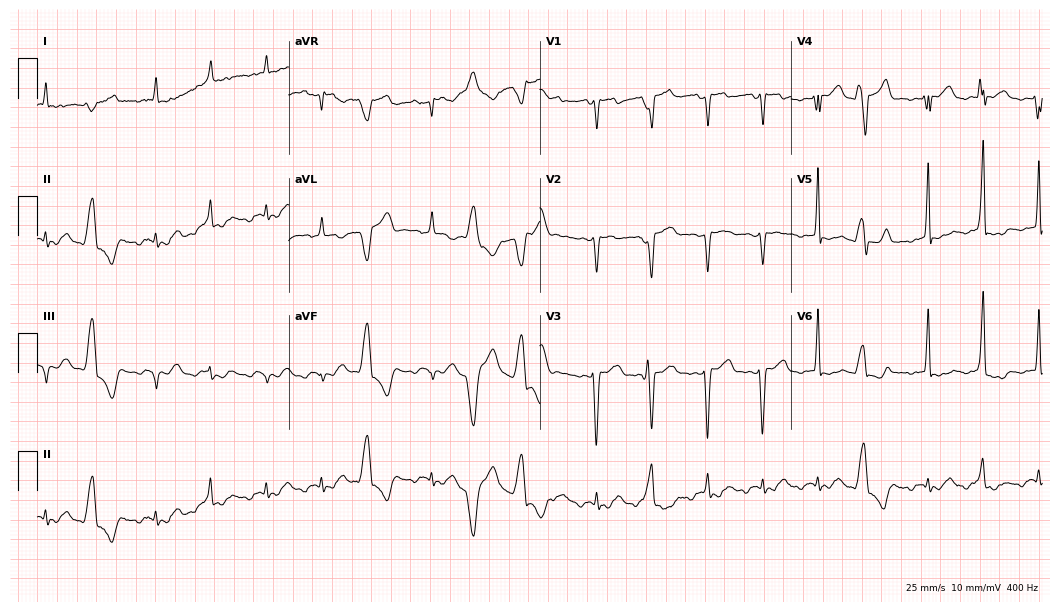
12-lead ECG from a female patient, 76 years old. Screened for six findings — first-degree AV block, right bundle branch block, left bundle branch block, sinus bradycardia, atrial fibrillation, sinus tachycardia — none is recorded. Other findings, if any, are not listed.